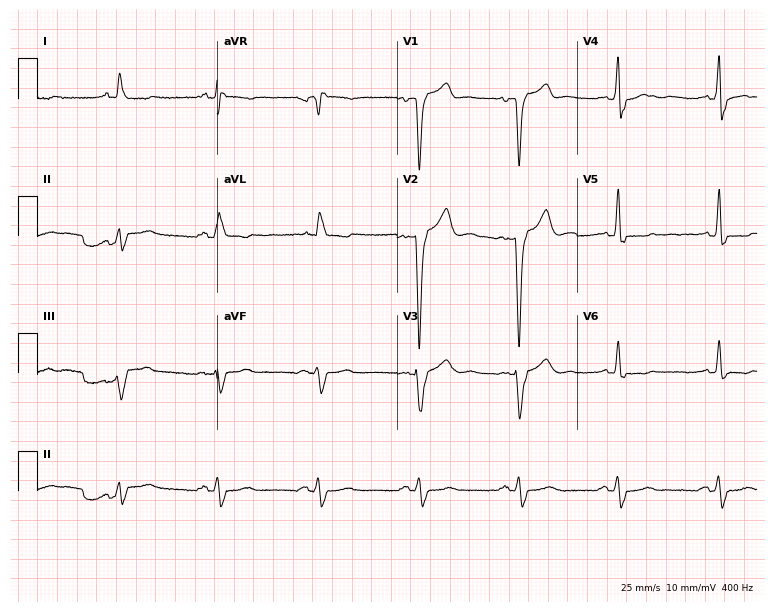
Electrocardiogram, a man, 72 years old. Of the six screened findings (first-degree AV block, right bundle branch block (RBBB), left bundle branch block (LBBB), sinus bradycardia, atrial fibrillation (AF), sinus tachycardia), none is recorded. Other findings, if any, are not listed.